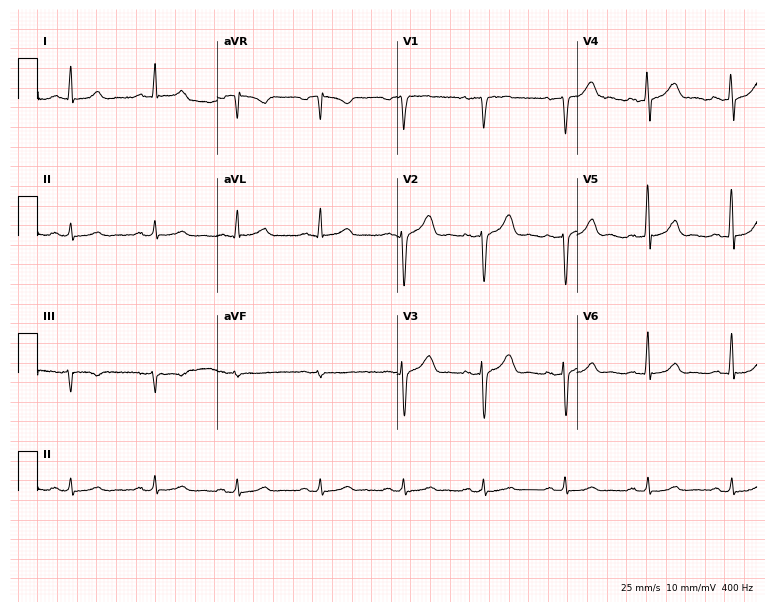
12-lead ECG (7.3-second recording at 400 Hz) from a 45-year-old man. Screened for six findings — first-degree AV block, right bundle branch block, left bundle branch block, sinus bradycardia, atrial fibrillation, sinus tachycardia — none is recorded. Only these six findings were labelled.